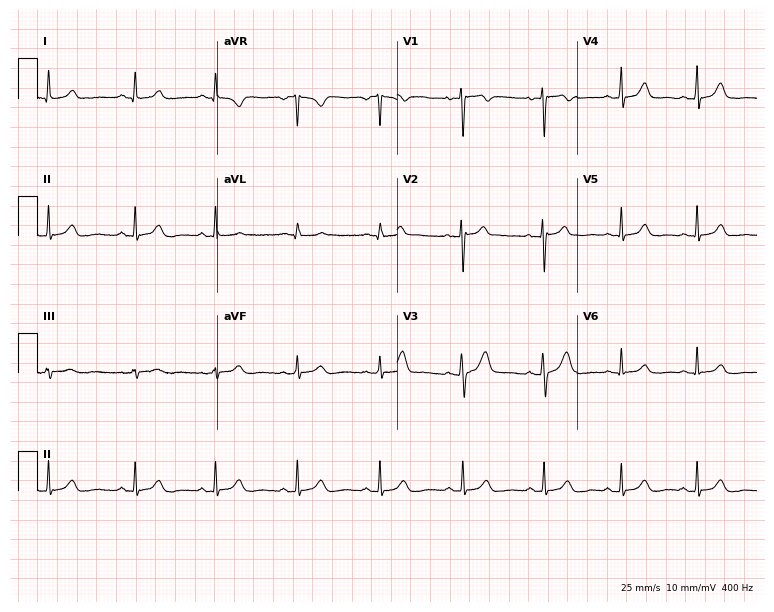
Standard 12-lead ECG recorded from a 31-year-old female (7.3-second recording at 400 Hz). Read as a normal ECG.